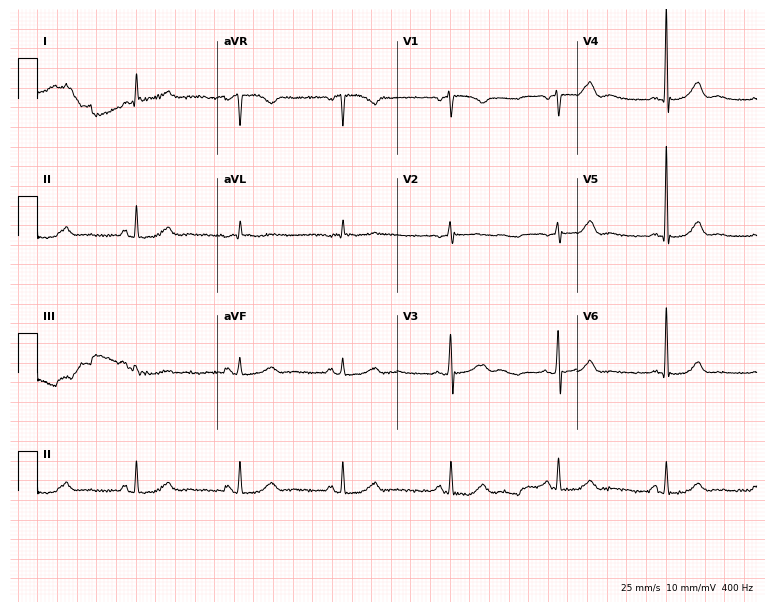
ECG — a female, 82 years old. Screened for six findings — first-degree AV block, right bundle branch block (RBBB), left bundle branch block (LBBB), sinus bradycardia, atrial fibrillation (AF), sinus tachycardia — none is recorded.